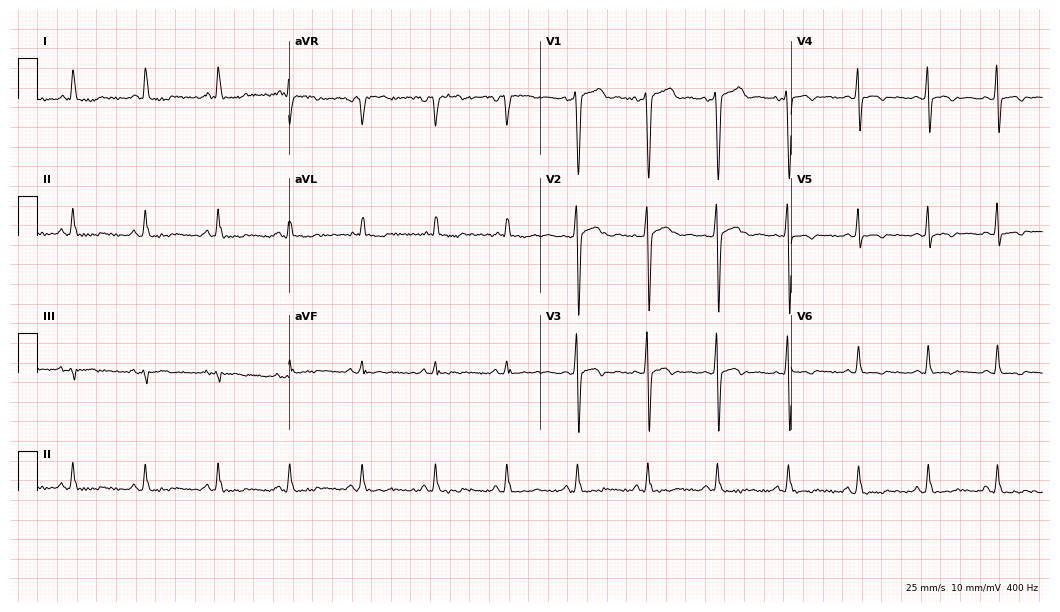
12-lead ECG from a 50-year-old male. No first-degree AV block, right bundle branch block, left bundle branch block, sinus bradycardia, atrial fibrillation or sinus tachycardia recorded for this tracing.